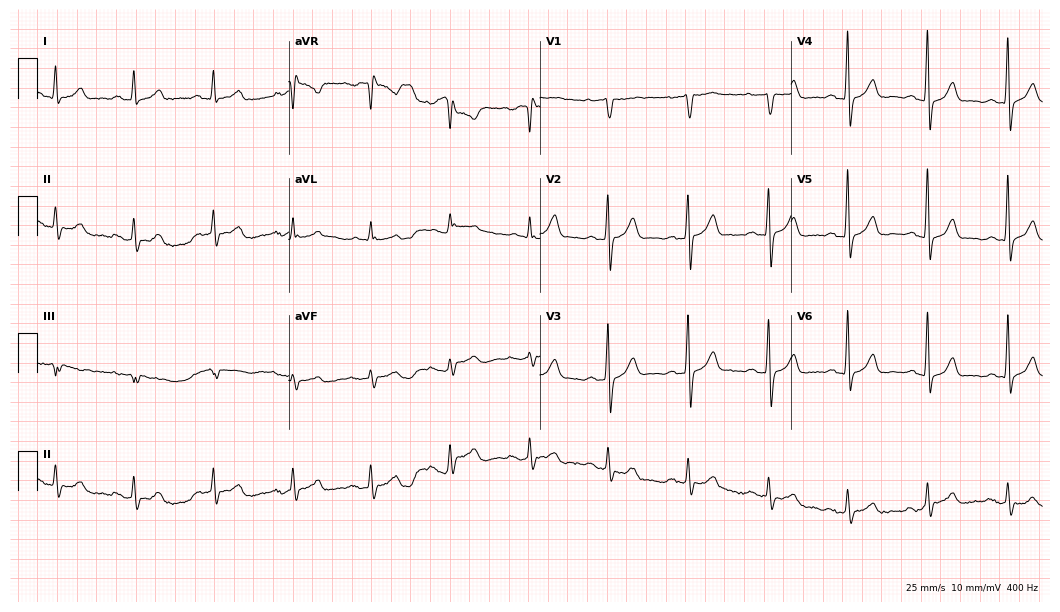
12-lead ECG from a 57-year-old male patient. Screened for six findings — first-degree AV block, right bundle branch block, left bundle branch block, sinus bradycardia, atrial fibrillation, sinus tachycardia — none is recorded. Other findings, if any, are not listed.